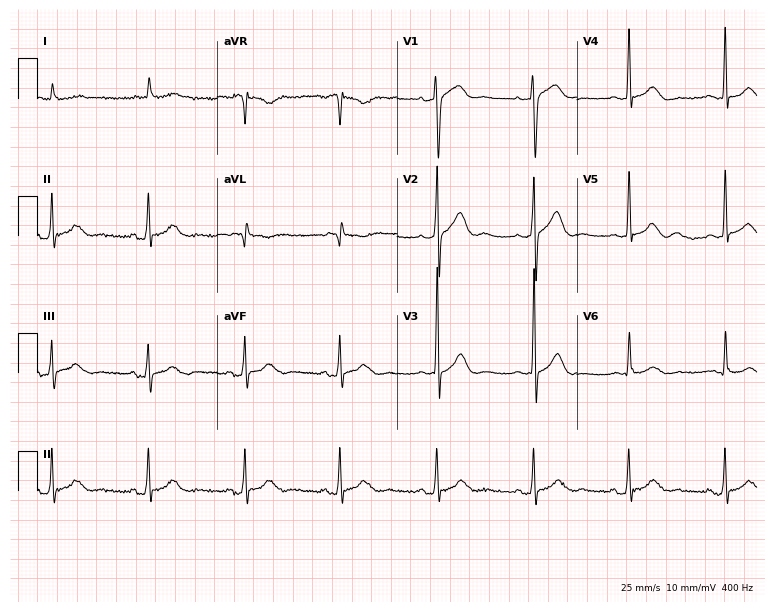
Resting 12-lead electrocardiogram (7.3-second recording at 400 Hz). Patient: an 84-year-old male. Read as a normal ECG.